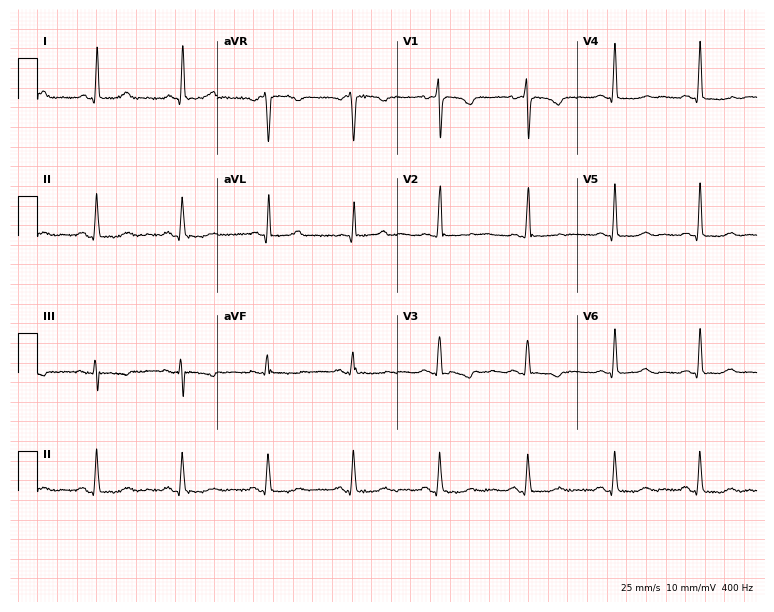
Standard 12-lead ECG recorded from a 69-year-old female patient (7.3-second recording at 400 Hz). None of these six findings is recorded: first-degree AV block, right bundle branch block, left bundle branch block, sinus bradycardia, atrial fibrillation, sinus tachycardia. Other findings, if any, are not listed.